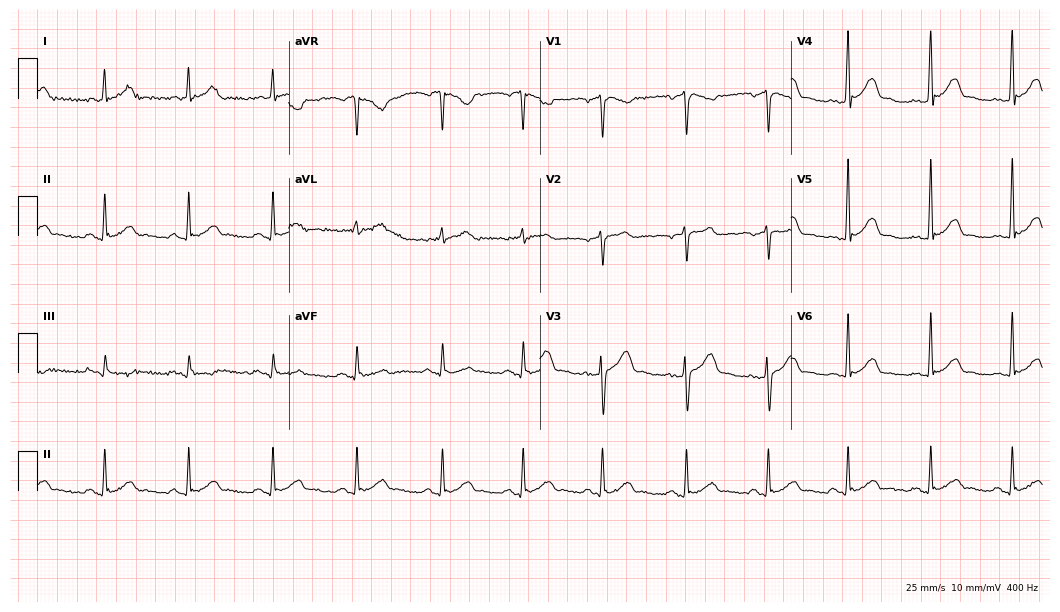
12-lead ECG (10.2-second recording at 400 Hz) from a male patient, 37 years old. Screened for six findings — first-degree AV block, right bundle branch block, left bundle branch block, sinus bradycardia, atrial fibrillation, sinus tachycardia — none is recorded. Only these six findings were labelled.